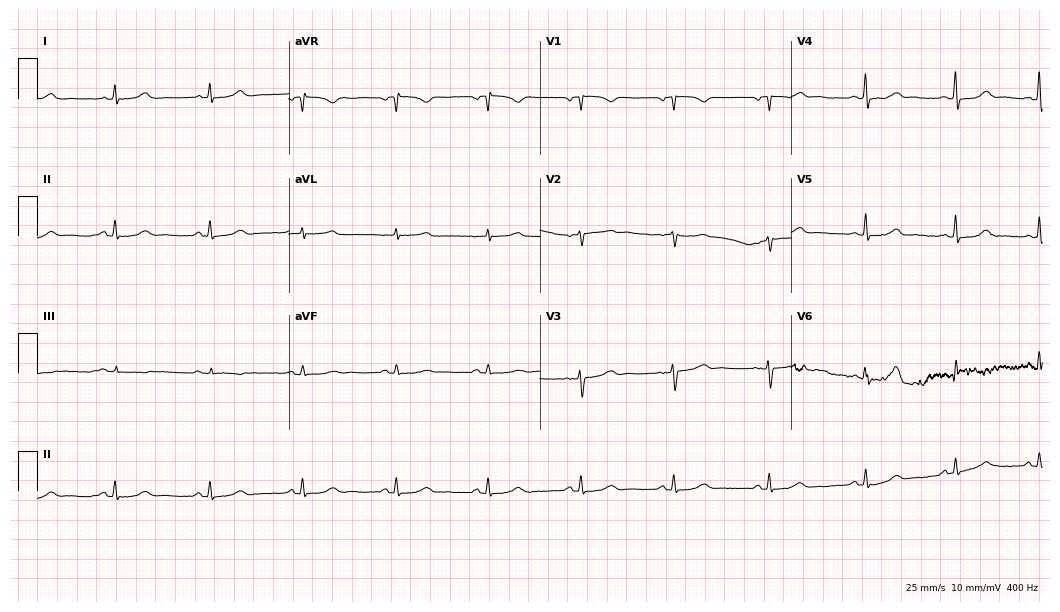
12-lead ECG (10.2-second recording at 400 Hz) from a female patient, 61 years old. Labelled as a normal ECG.